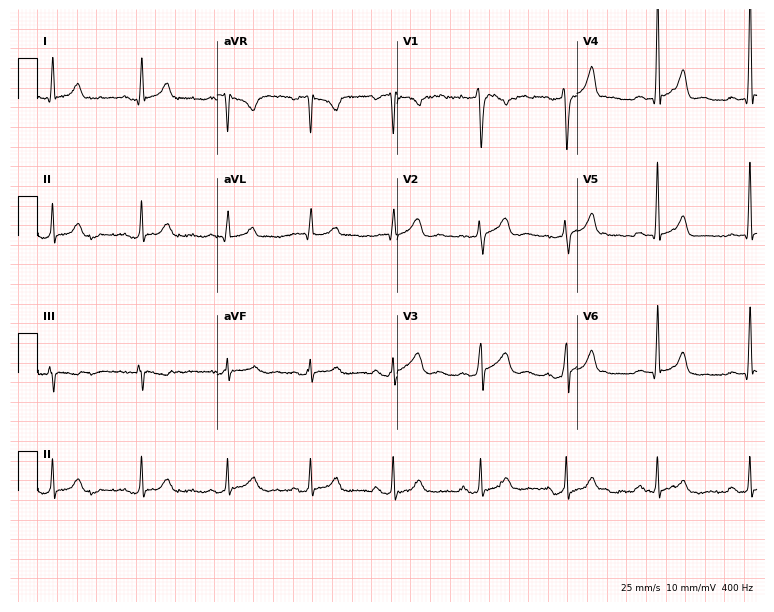
Electrocardiogram (7.3-second recording at 400 Hz), a 32-year-old male. Overall reading on record: normal ECG.